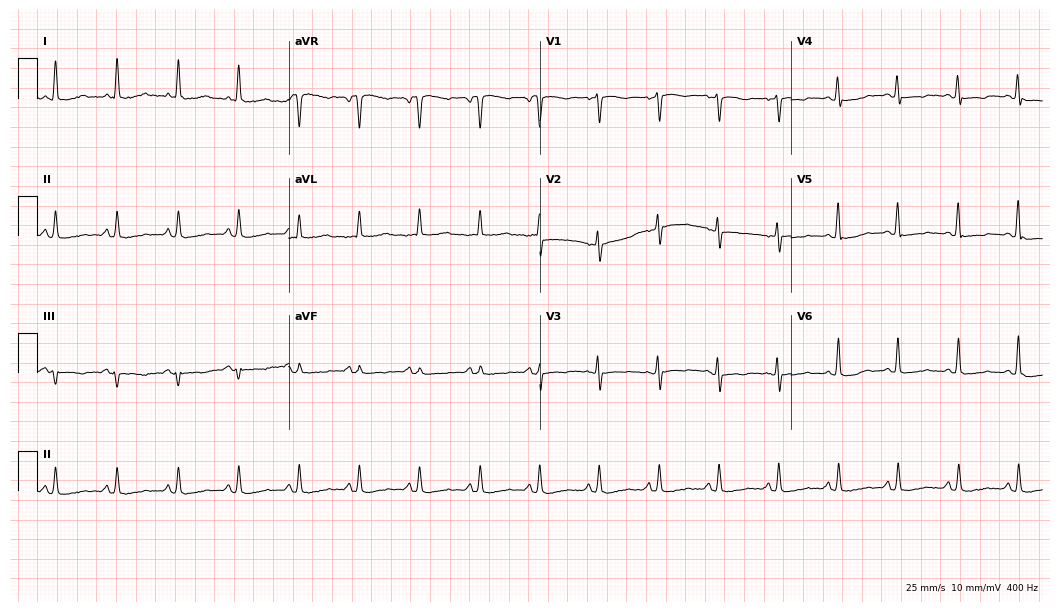
Electrocardiogram, a 40-year-old woman. Of the six screened findings (first-degree AV block, right bundle branch block (RBBB), left bundle branch block (LBBB), sinus bradycardia, atrial fibrillation (AF), sinus tachycardia), none is recorded.